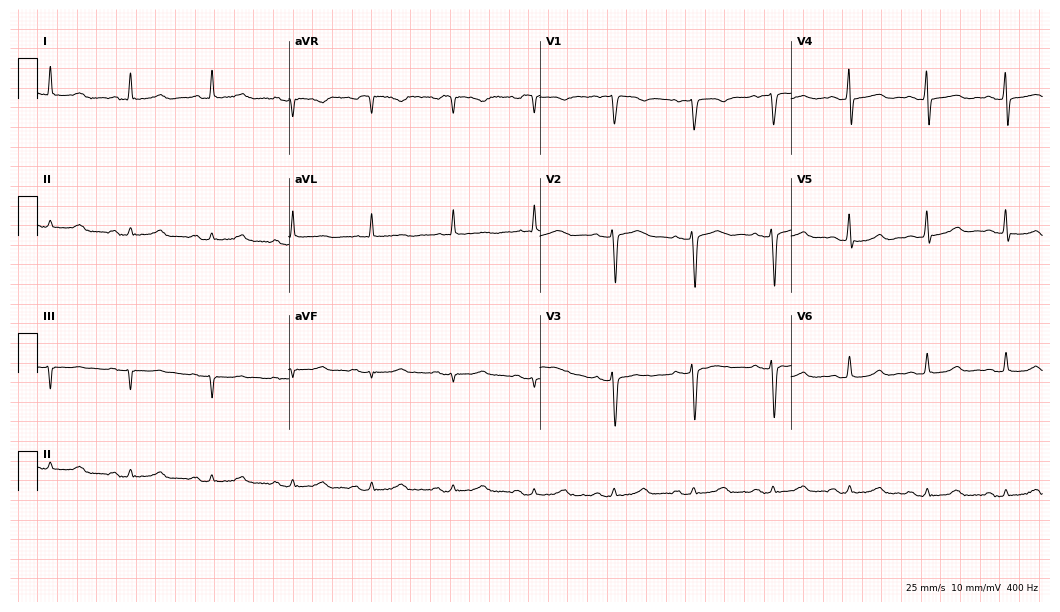
12-lead ECG from a 52-year-old female. Recorded interpretation: within normal limits.